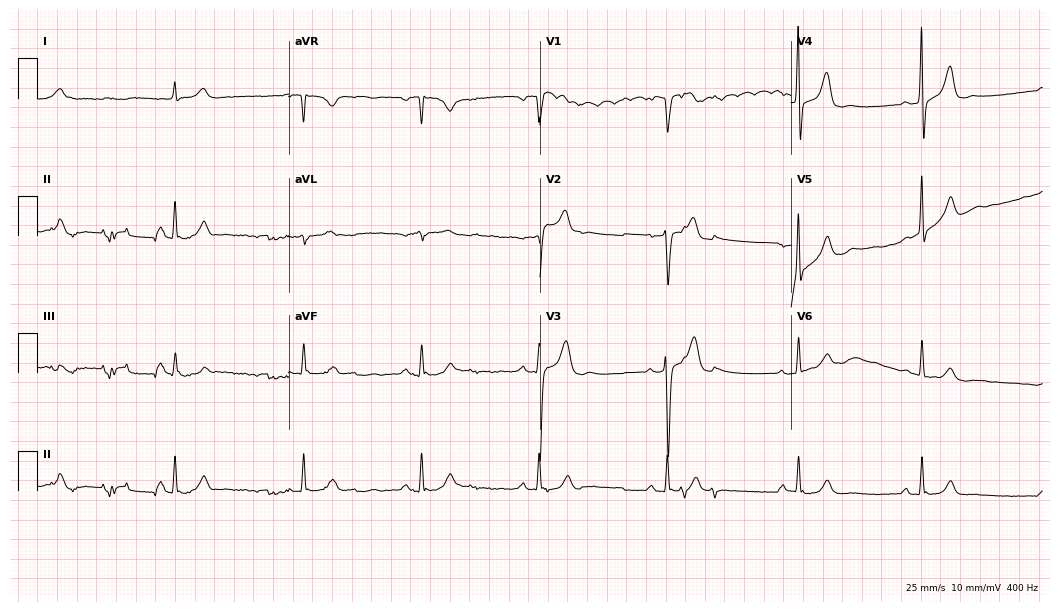
12-lead ECG (10.2-second recording at 400 Hz) from a male, 70 years old. Findings include atrial fibrillation.